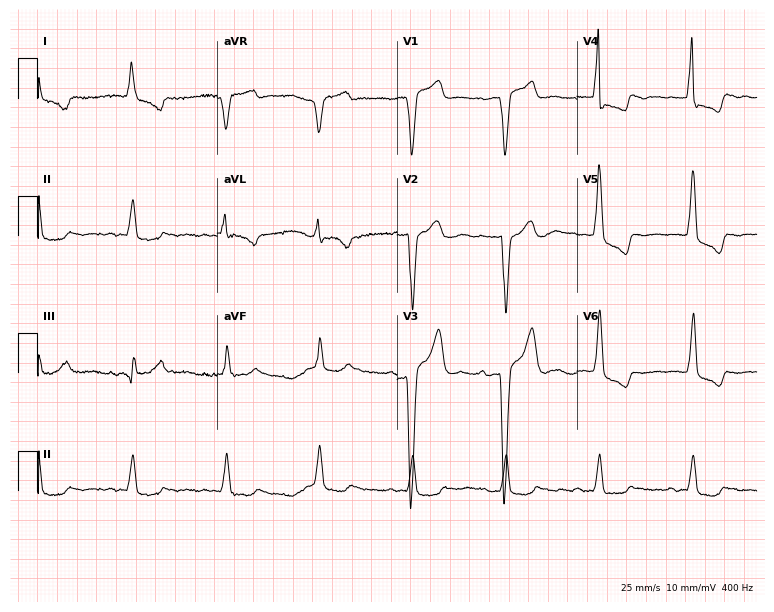
ECG (7.3-second recording at 400 Hz) — an 85-year-old male patient. Findings include left bundle branch block.